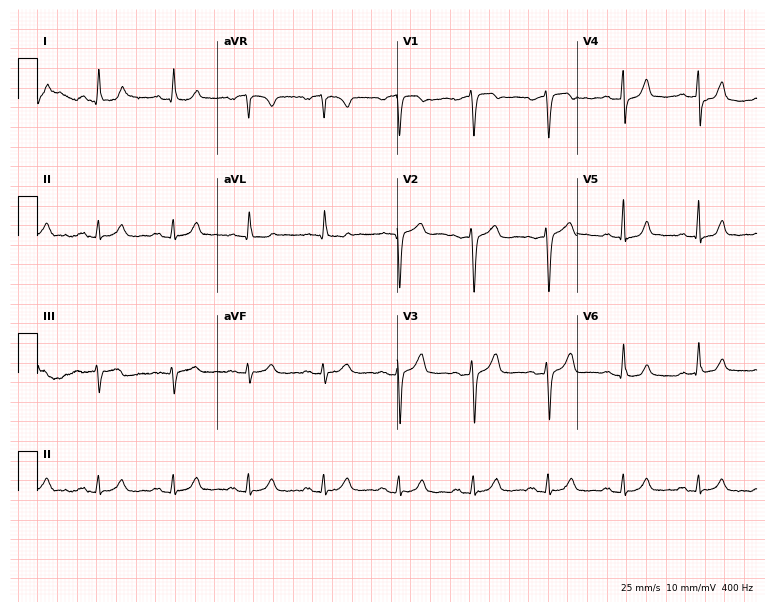
Resting 12-lead electrocardiogram (7.3-second recording at 400 Hz). Patient: a male, 73 years old. Read as a normal ECG.